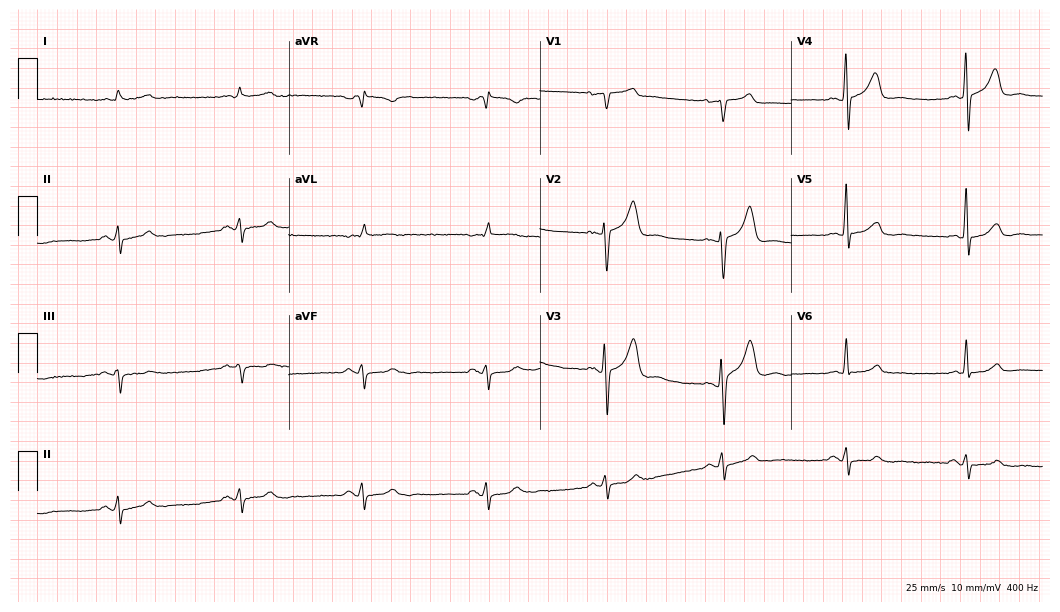
Resting 12-lead electrocardiogram. Patient: a male, 59 years old. The tracing shows sinus bradycardia (a sinus rate of 50 beats per minute or less).